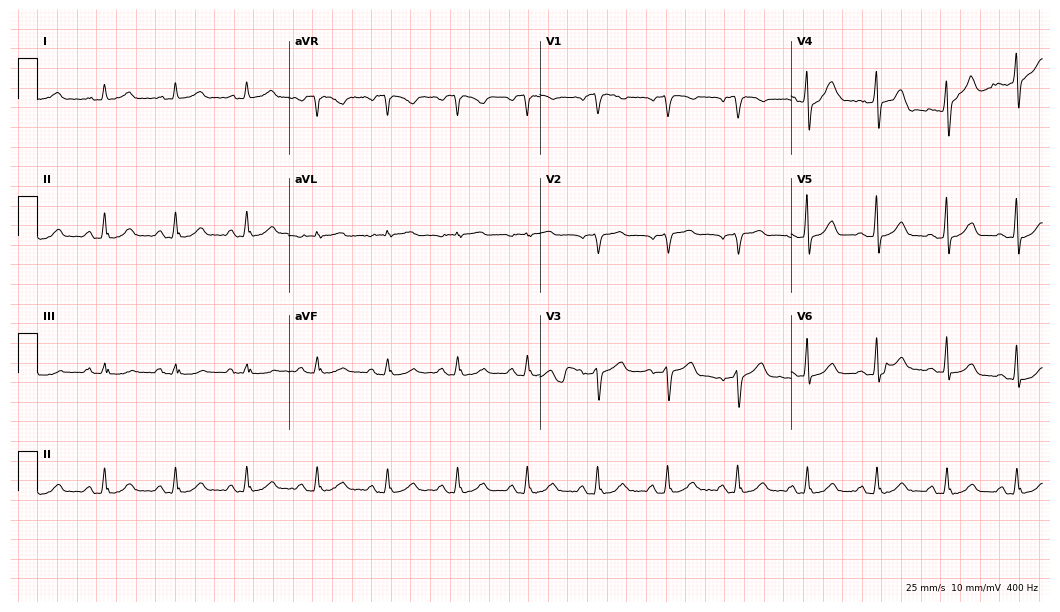
Standard 12-lead ECG recorded from a 63-year-old man (10.2-second recording at 400 Hz). Read as a normal ECG.